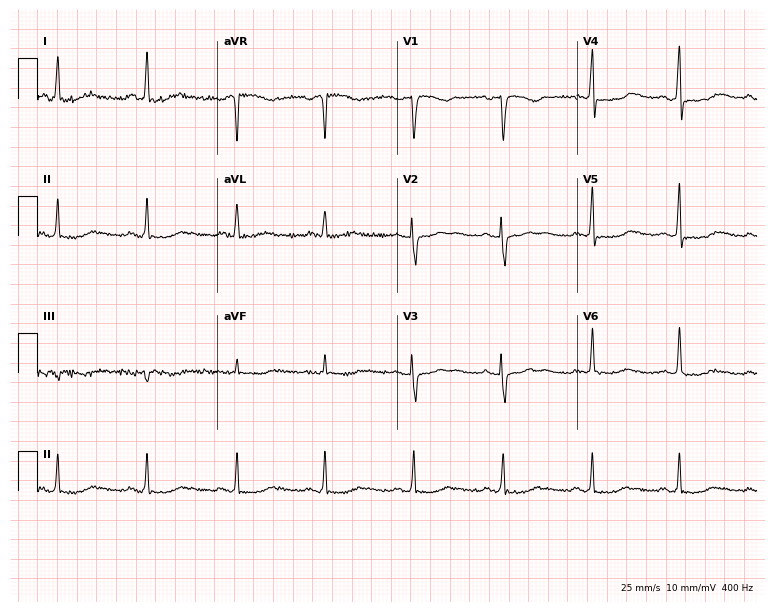
Standard 12-lead ECG recorded from a 50-year-old female. None of these six findings is recorded: first-degree AV block, right bundle branch block, left bundle branch block, sinus bradycardia, atrial fibrillation, sinus tachycardia.